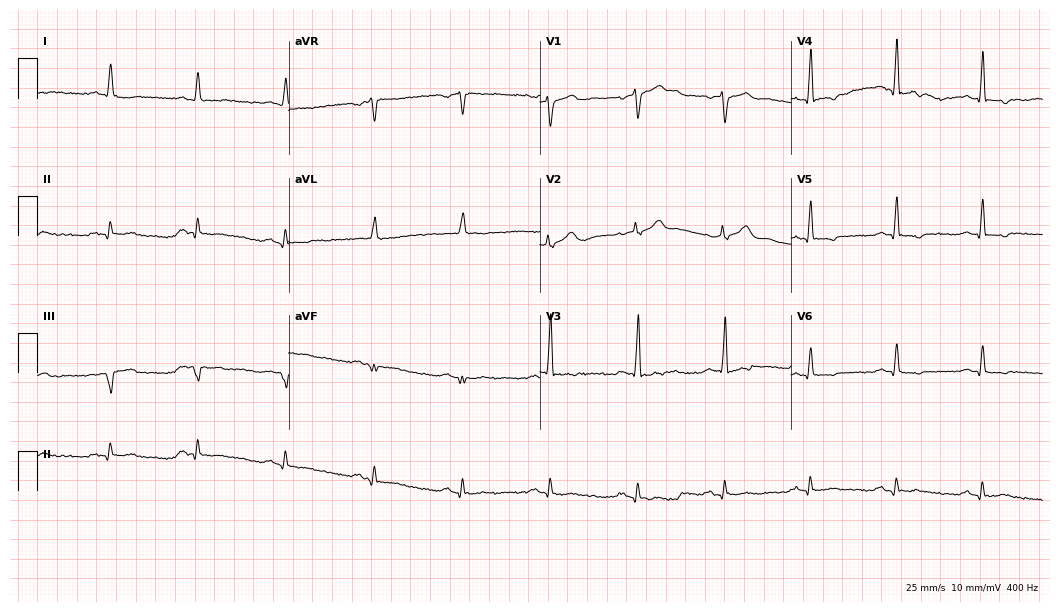
ECG (10.2-second recording at 400 Hz) — a 61-year-old man. Screened for six findings — first-degree AV block, right bundle branch block, left bundle branch block, sinus bradycardia, atrial fibrillation, sinus tachycardia — none is recorded. Only these six findings were labelled.